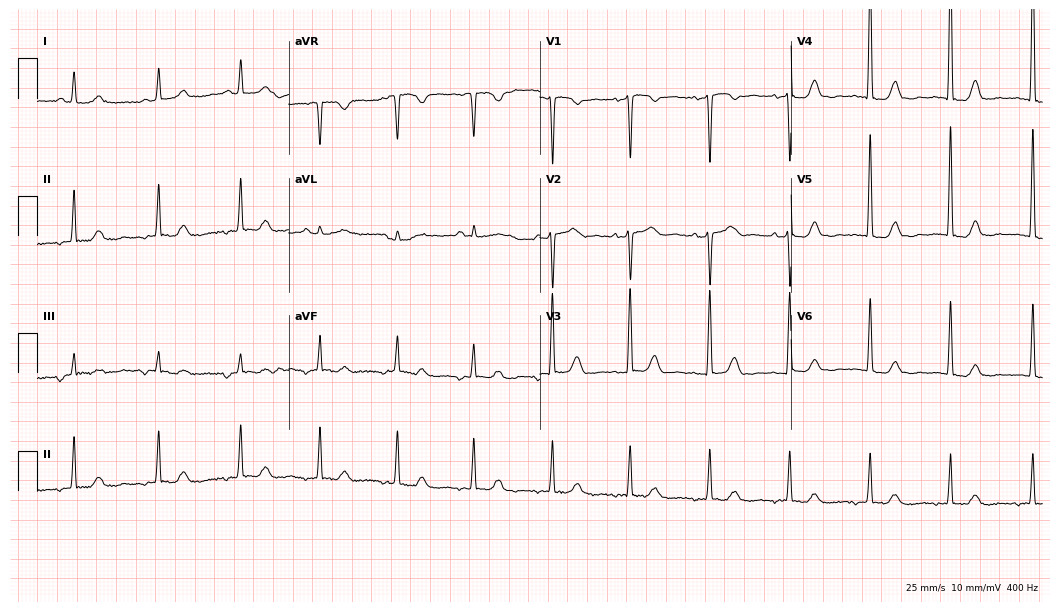
ECG (10.2-second recording at 400 Hz) — a female patient, 69 years old. Screened for six findings — first-degree AV block, right bundle branch block, left bundle branch block, sinus bradycardia, atrial fibrillation, sinus tachycardia — none is recorded. Findings outside these six are not listed.